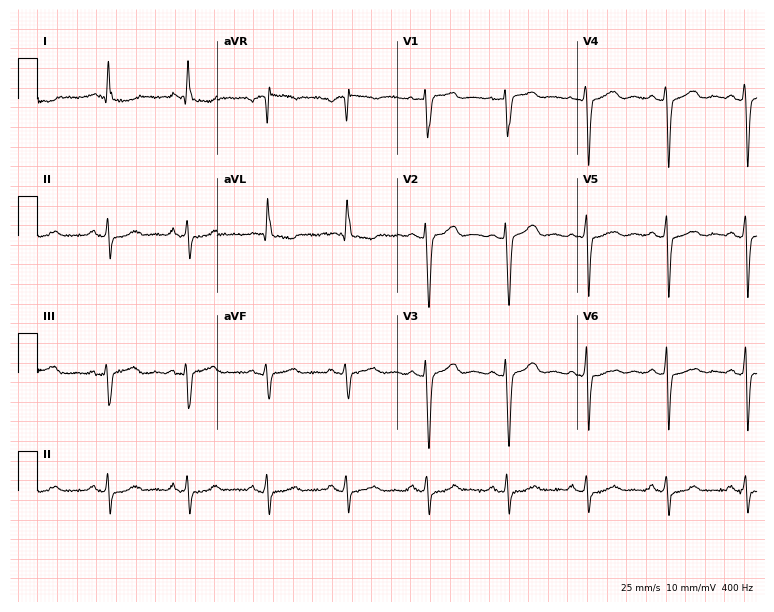
12-lead ECG from an 85-year-old woman (7.3-second recording at 400 Hz). No first-degree AV block, right bundle branch block, left bundle branch block, sinus bradycardia, atrial fibrillation or sinus tachycardia recorded for this tracing.